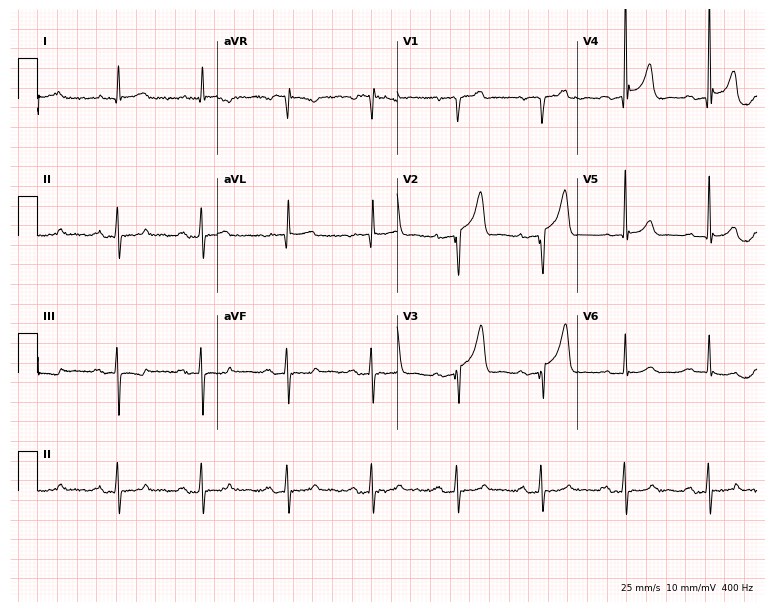
Resting 12-lead electrocardiogram. Patient: a 72-year-old male. None of these six findings is recorded: first-degree AV block, right bundle branch block, left bundle branch block, sinus bradycardia, atrial fibrillation, sinus tachycardia.